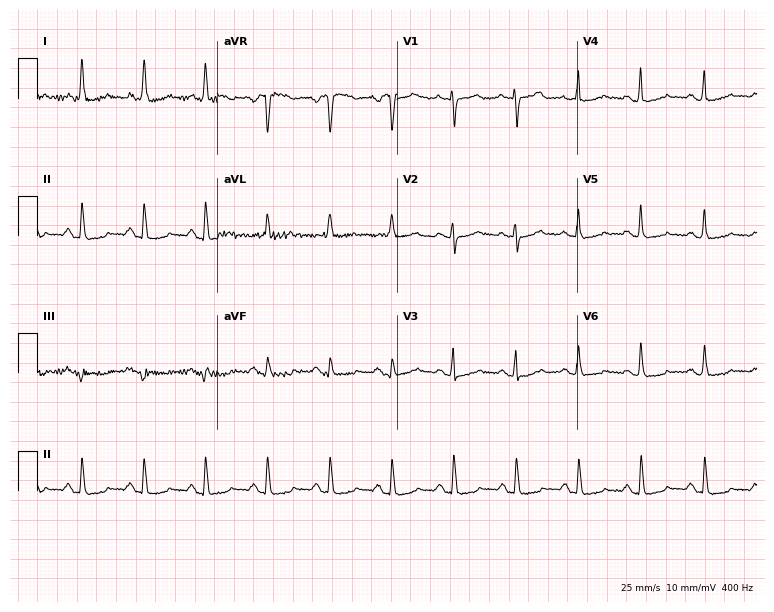
Electrocardiogram, a female, 63 years old. Of the six screened findings (first-degree AV block, right bundle branch block (RBBB), left bundle branch block (LBBB), sinus bradycardia, atrial fibrillation (AF), sinus tachycardia), none is recorded.